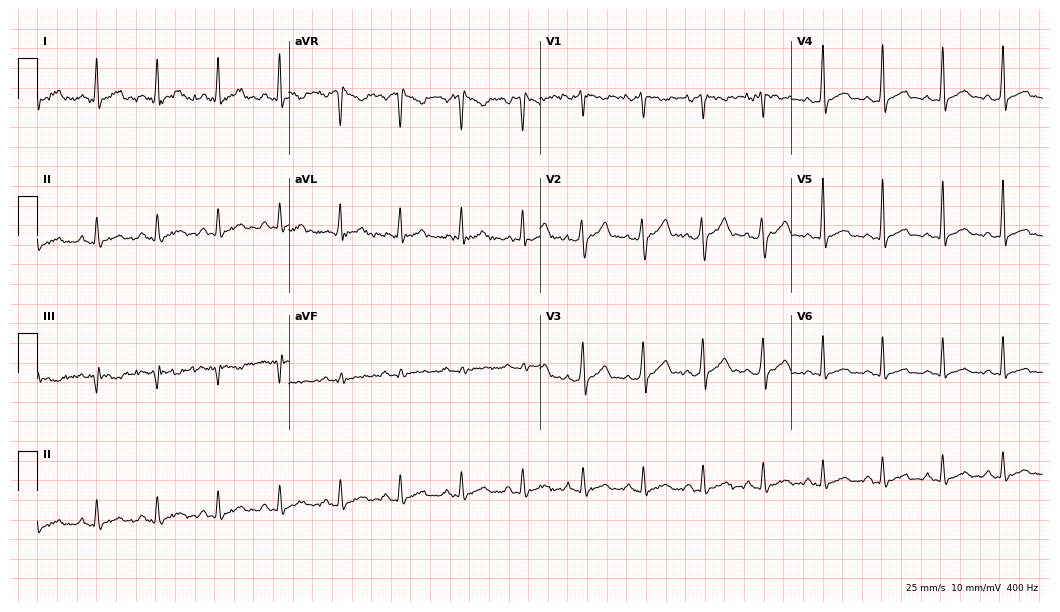
ECG — a 27-year-old male. Labelled as a normal ECG.